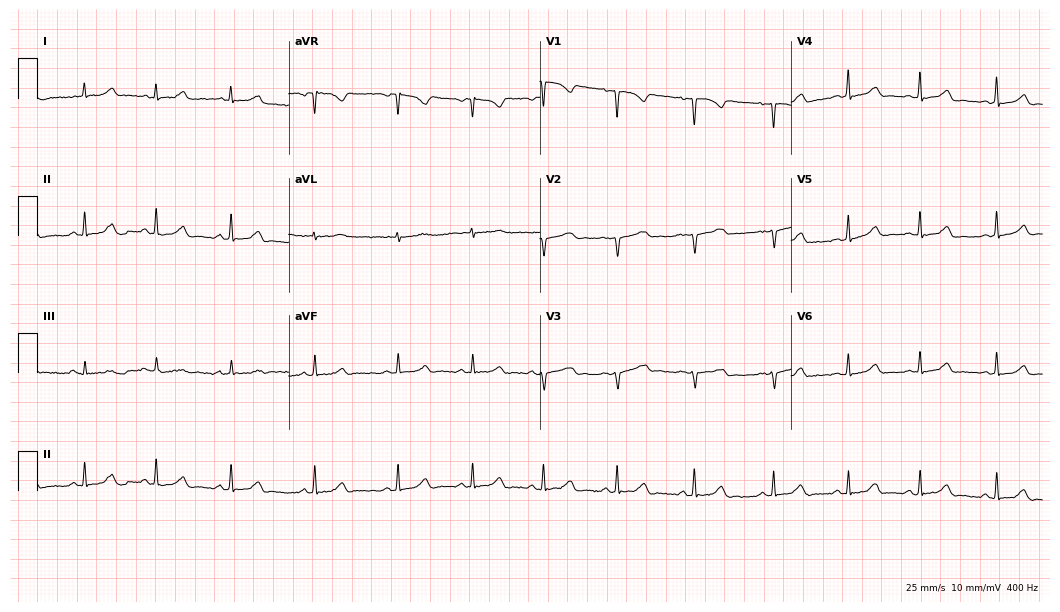
Standard 12-lead ECG recorded from a 25-year-old female patient (10.2-second recording at 400 Hz). None of these six findings is recorded: first-degree AV block, right bundle branch block, left bundle branch block, sinus bradycardia, atrial fibrillation, sinus tachycardia.